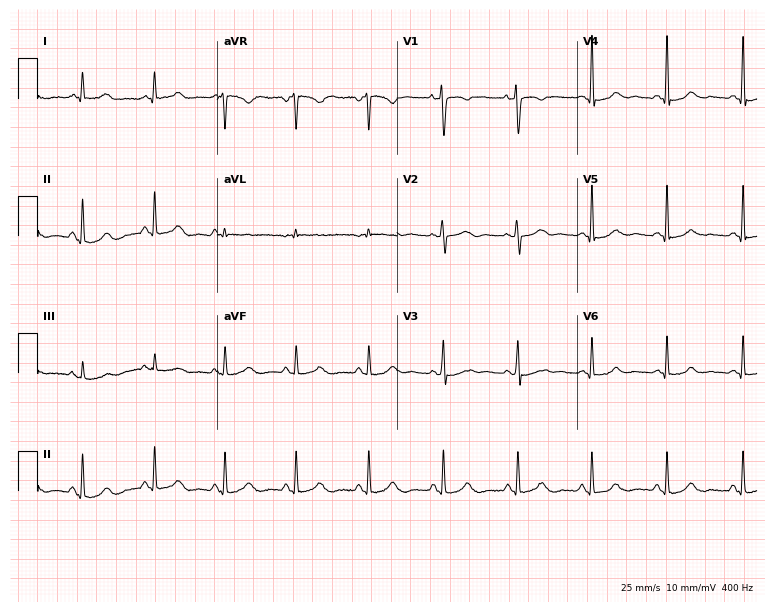
Electrocardiogram (7.3-second recording at 400 Hz), a 47-year-old female patient. Overall reading on record: normal ECG.